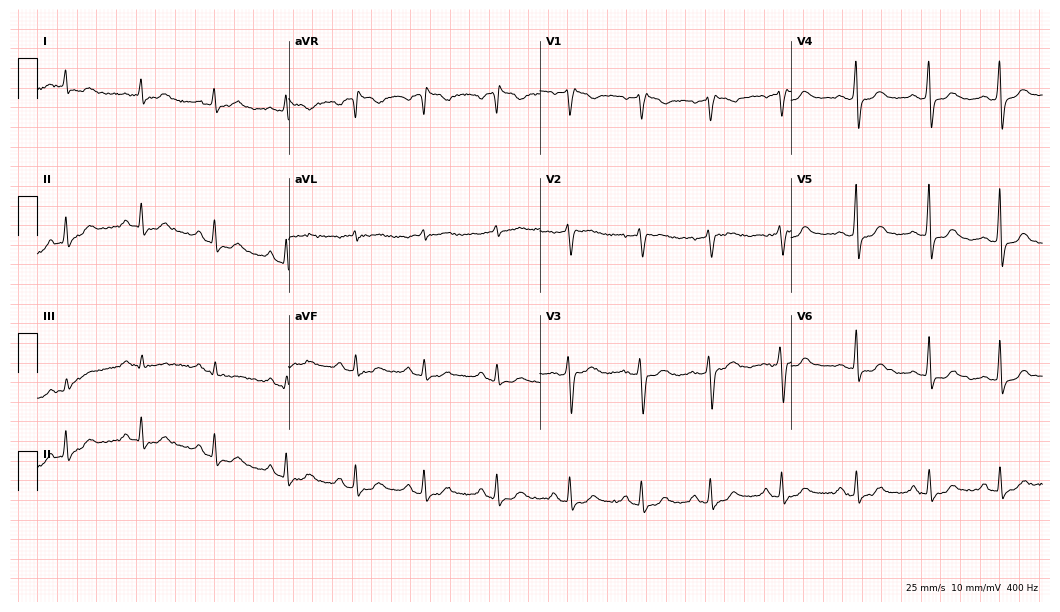
Electrocardiogram, a 50-year-old female patient. Of the six screened findings (first-degree AV block, right bundle branch block (RBBB), left bundle branch block (LBBB), sinus bradycardia, atrial fibrillation (AF), sinus tachycardia), none is recorded.